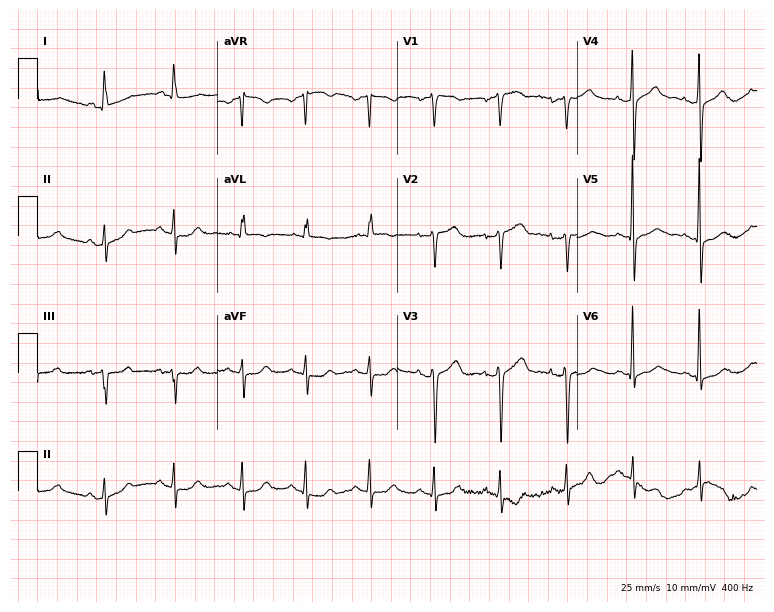
12-lead ECG (7.3-second recording at 400 Hz) from a 74-year-old female patient. Screened for six findings — first-degree AV block, right bundle branch block, left bundle branch block, sinus bradycardia, atrial fibrillation, sinus tachycardia — none is recorded. Findings outside these six are not listed.